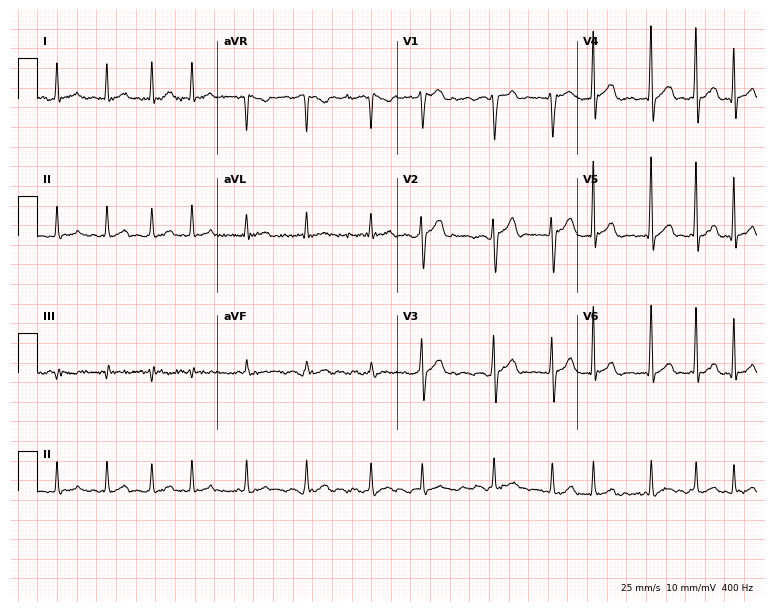
Electrocardiogram (7.3-second recording at 400 Hz), a man, 39 years old. Interpretation includes atrial fibrillation (AF).